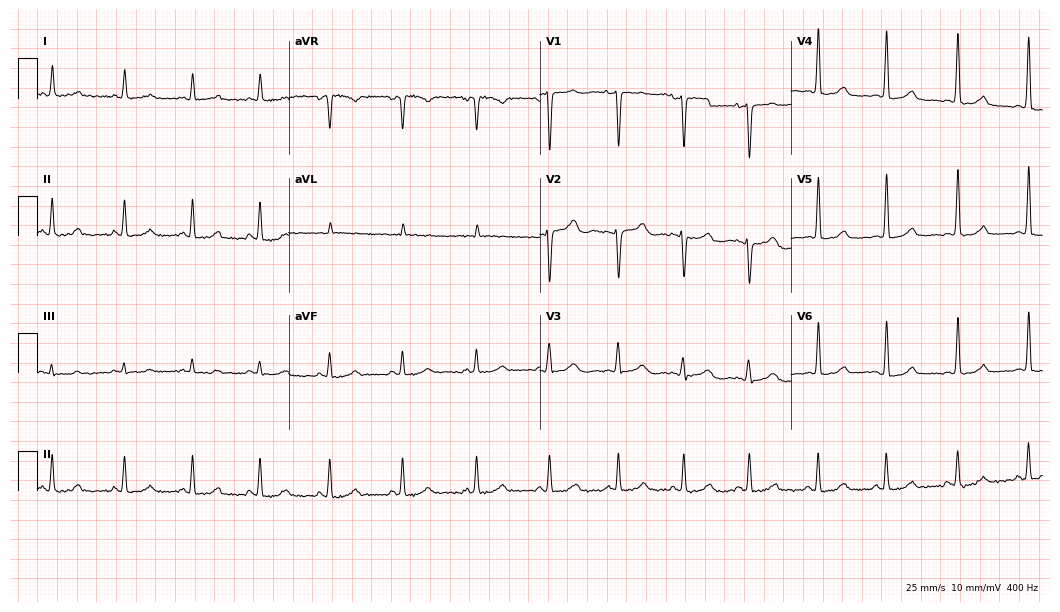
12-lead ECG (10.2-second recording at 400 Hz) from a female patient, 37 years old. Screened for six findings — first-degree AV block, right bundle branch block, left bundle branch block, sinus bradycardia, atrial fibrillation, sinus tachycardia — none is recorded. Findings outside these six are not listed.